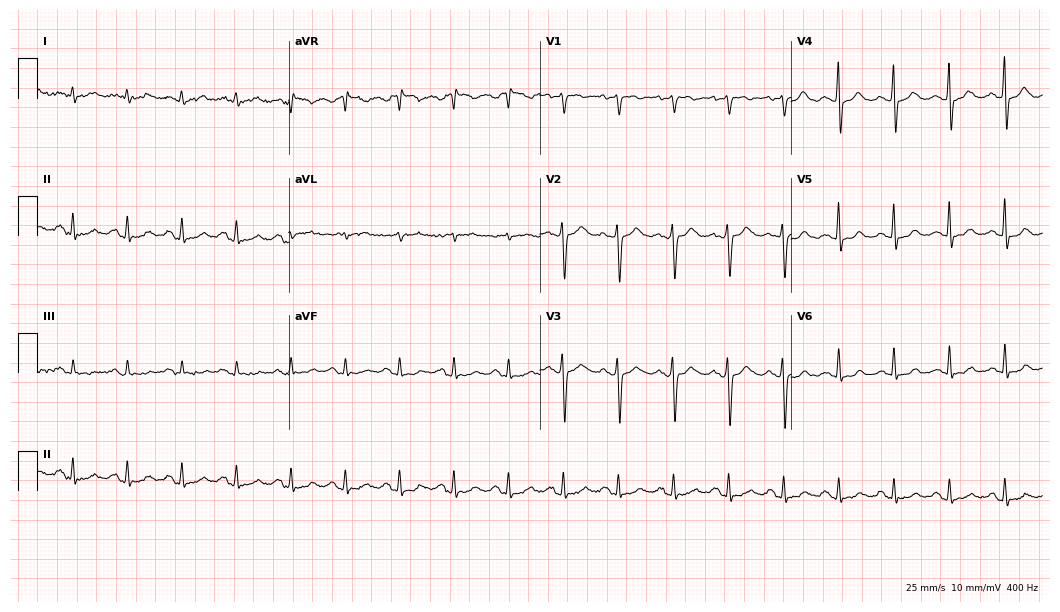
ECG — a female, 56 years old. Screened for six findings — first-degree AV block, right bundle branch block, left bundle branch block, sinus bradycardia, atrial fibrillation, sinus tachycardia — none is recorded.